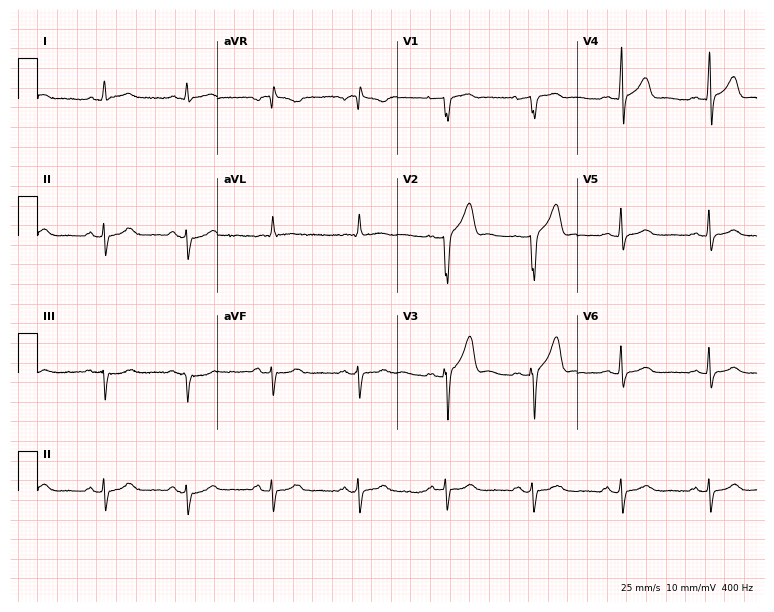
Electrocardiogram, a 60-year-old male patient. Of the six screened findings (first-degree AV block, right bundle branch block, left bundle branch block, sinus bradycardia, atrial fibrillation, sinus tachycardia), none is recorded. Only these six findings were labelled.